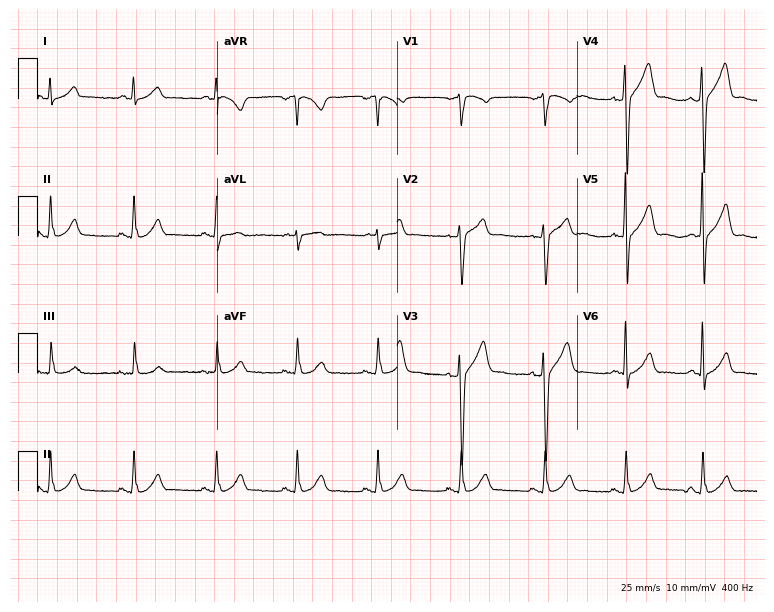
Standard 12-lead ECG recorded from a male, 49 years old. Read as a normal ECG.